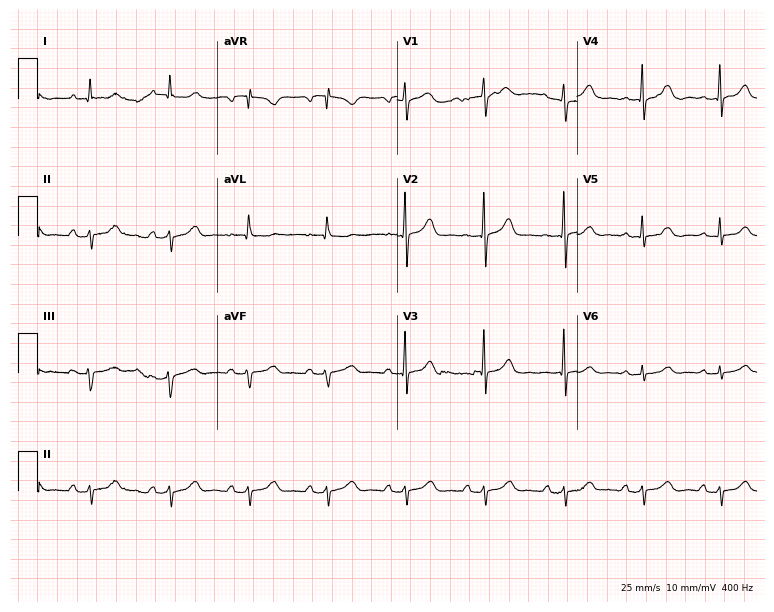
Standard 12-lead ECG recorded from a 79-year-old woman. None of these six findings is recorded: first-degree AV block, right bundle branch block, left bundle branch block, sinus bradycardia, atrial fibrillation, sinus tachycardia. Only these six findings were labelled.